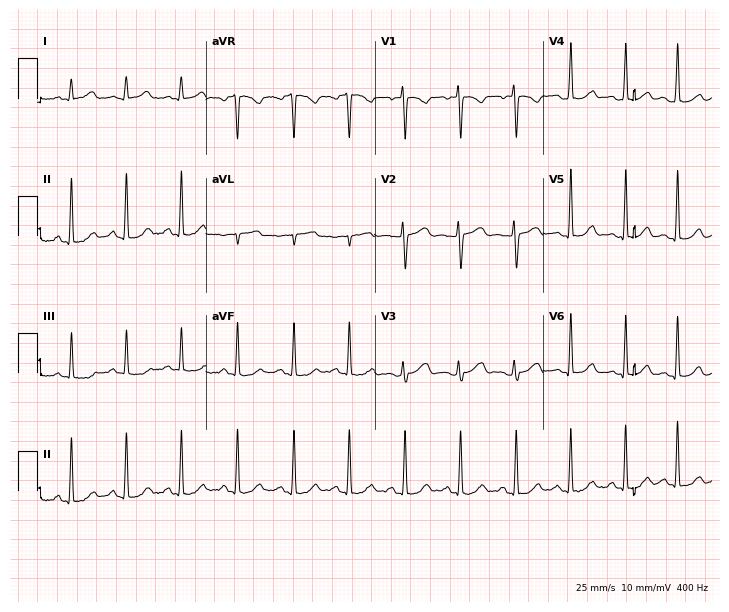
12-lead ECG from a 34-year-old female (6.9-second recording at 400 Hz). Shows sinus tachycardia (a sinus rate of 100 beats per minute or more).